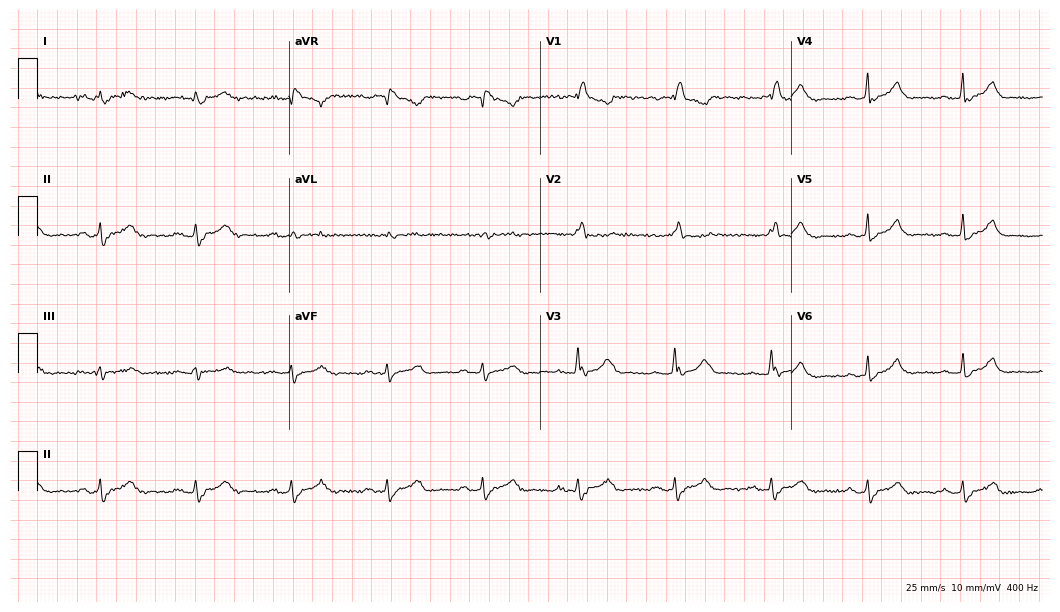
Resting 12-lead electrocardiogram. Patient: a 59-year-old male. None of these six findings is recorded: first-degree AV block, right bundle branch block, left bundle branch block, sinus bradycardia, atrial fibrillation, sinus tachycardia. Only these six findings were labelled.